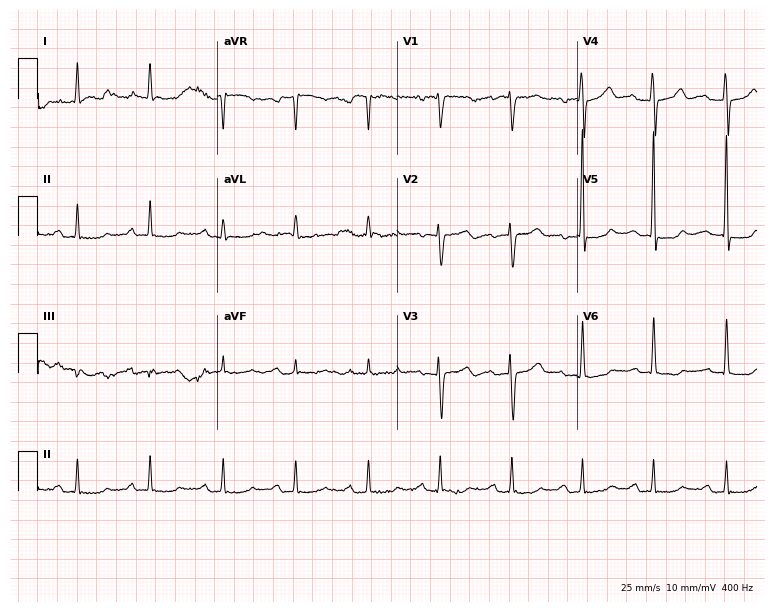
Resting 12-lead electrocardiogram (7.3-second recording at 400 Hz). Patient: a female, 75 years old. None of these six findings is recorded: first-degree AV block, right bundle branch block, left bundle branch block, sinus bradycardia, atrial fibrillation, sinus tachycardia.